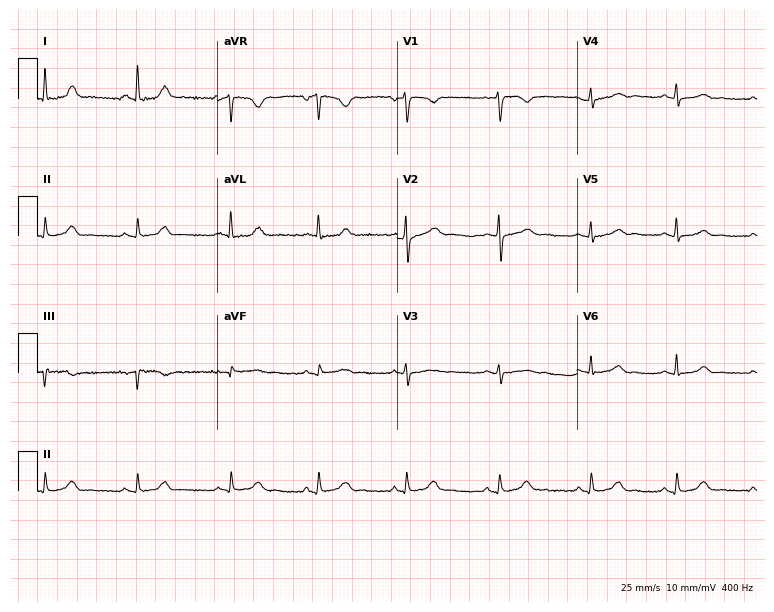
Resting 12-lead electrocardiogram (7.3-second recording at 400 Hz). Patient: a 38-year-old female. Read as a normal ECG.